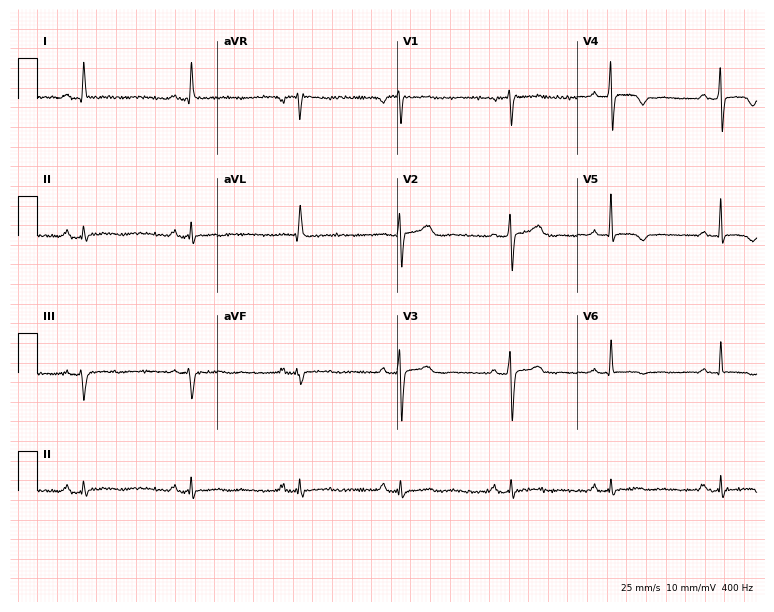
Electrocardiogram, a woman, 74 years old. Of the six screened findings (first-degree AV block, right bundle branch block, left bundle branch block, sinus bradycardia, atrial fibrillation, sinus tachycardia), none is recorded.